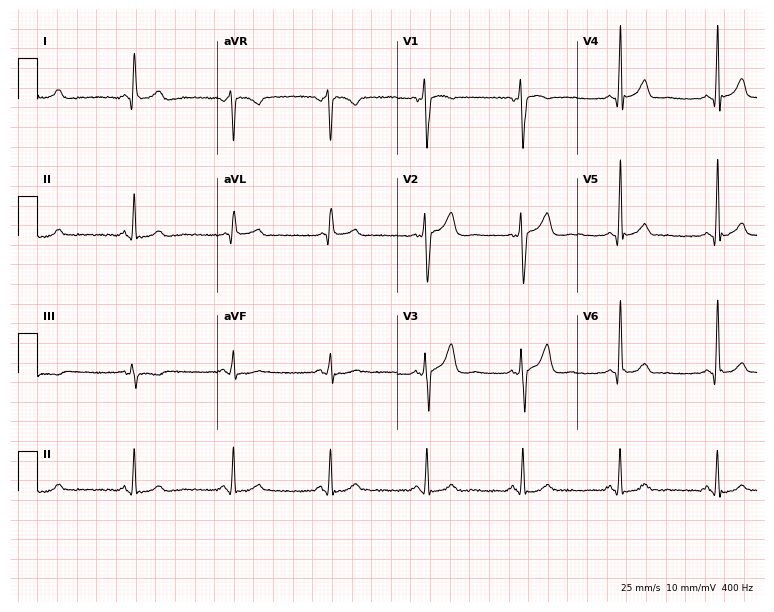
Electrocardiogram (7.3-second recording at 400 Hz), a man, 55 years old. Of the six screened findings (first-degree AV block, right bundle branch block, left bundle branch block, sinus bradycardia, atrial fibrillation, sinus tachycardia), none is recorded. Findings outside these six are not listed.